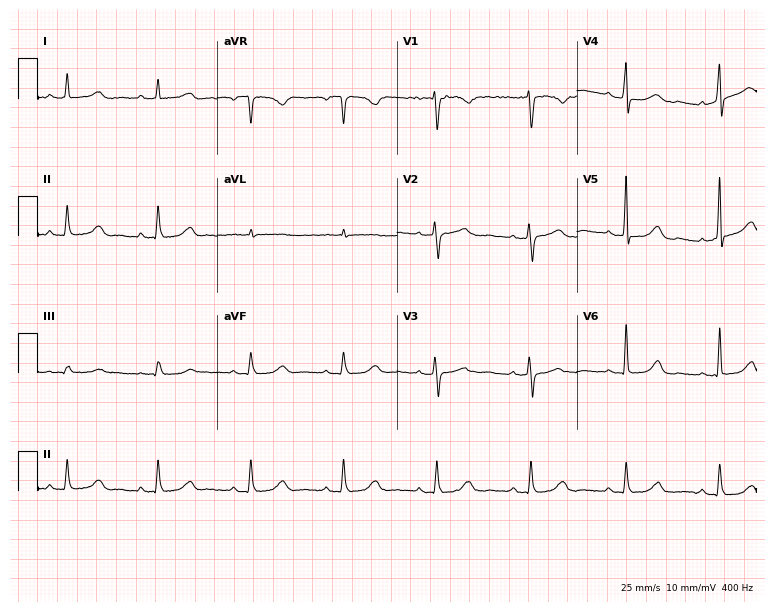
12-lead ECG from a 55-year-old woman. Screened for six findings — first-degree AV block, right bundle branch block, left bundle branch block, sinus bradycardia, atrial fibrillation, sinus tachycardia — none is recorded.